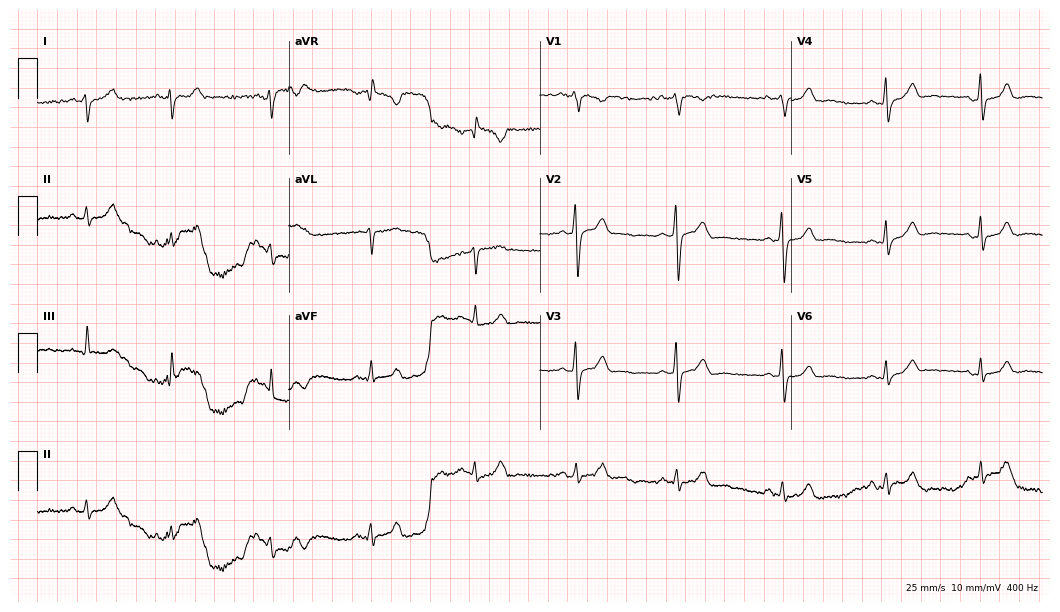
12-lead ECG from a man, 28 years old. Labelled as a normal ECG.